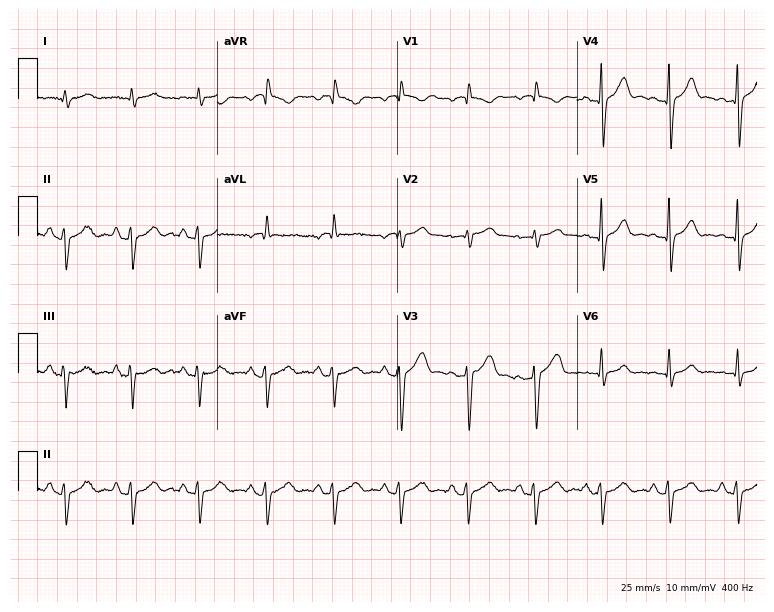
12-lead ECG from a man, 61 years old (7.3-second recording at 400 Hz). No first-degree AV block, right bundle branch block, left bundle branch block, sinus bradycardia, atrial fibrillation or sinus tachycardia recorded for this tracing.